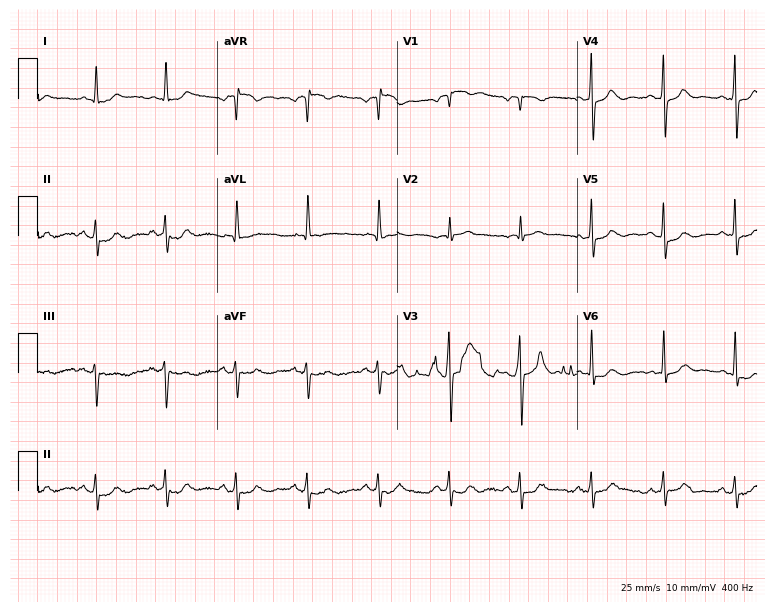
Resting 12-lead electrocardiogram. Patient: a 68-year-old male. Read as a normal ECG.